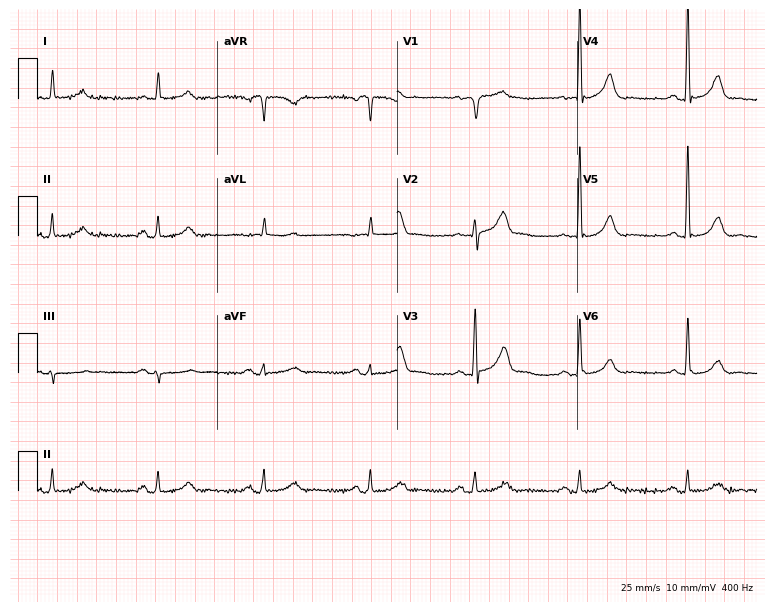
Standard 12-lead ECG recorded from a 77-year-old male. None of these six findings is recorded: first-degree AV block, right bundle branch block, left bundle branch block, sinus bradycardia, atrial fibrillation, sinus tachycardia. Only these six findings were labelled.